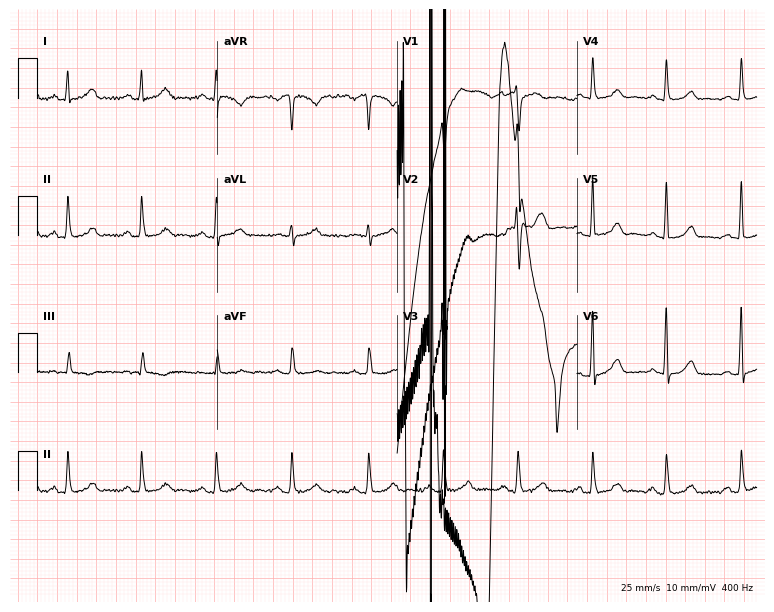
ECG — a 40-year-old male. Screened for six findings — first-degree AV block, right bundle branch block, left bundle branch block, sinus bradycardia, atrial fibrillation, sinus tachycardia — none is recorded. Findings outside these six are not listed.